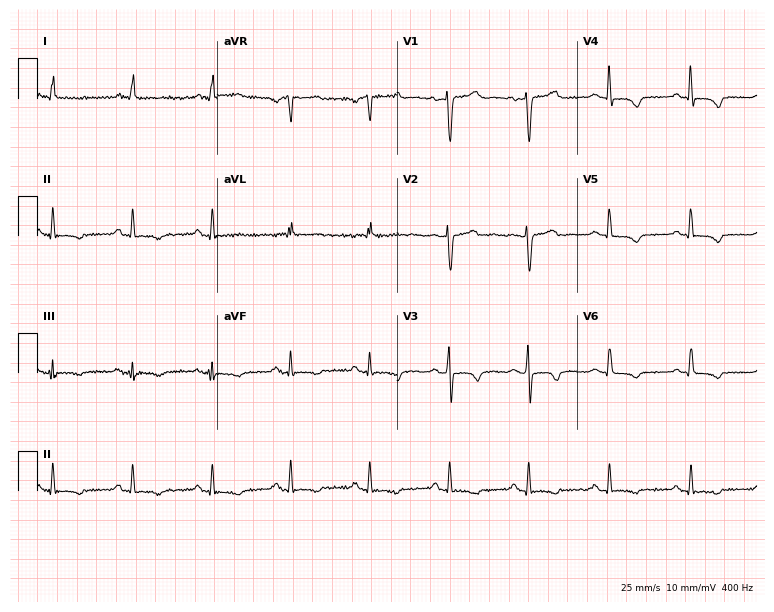
Standard 12-lead ECG recorded from a 46-year-old female patient. None of these six findings is recorded: first-degree AV block, right bundle branch block, left bundle branch block, sinus bradycardia, atrial fibrillation, sinus tachycardia. Only these six findings were labelled.